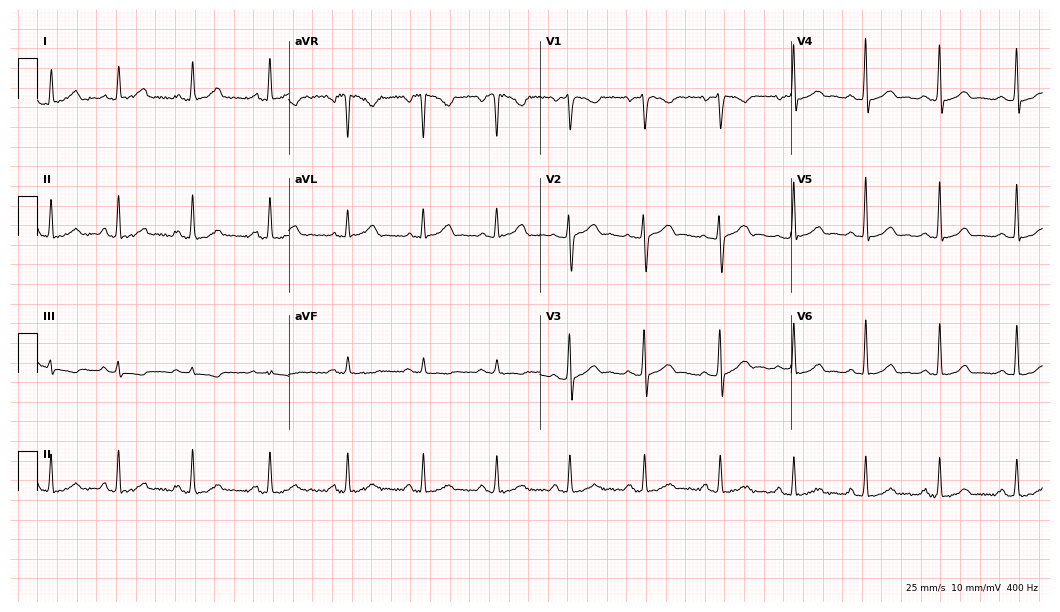
12-lead ECG from a female patient, 35 years old. Labelled as a normal ECG.